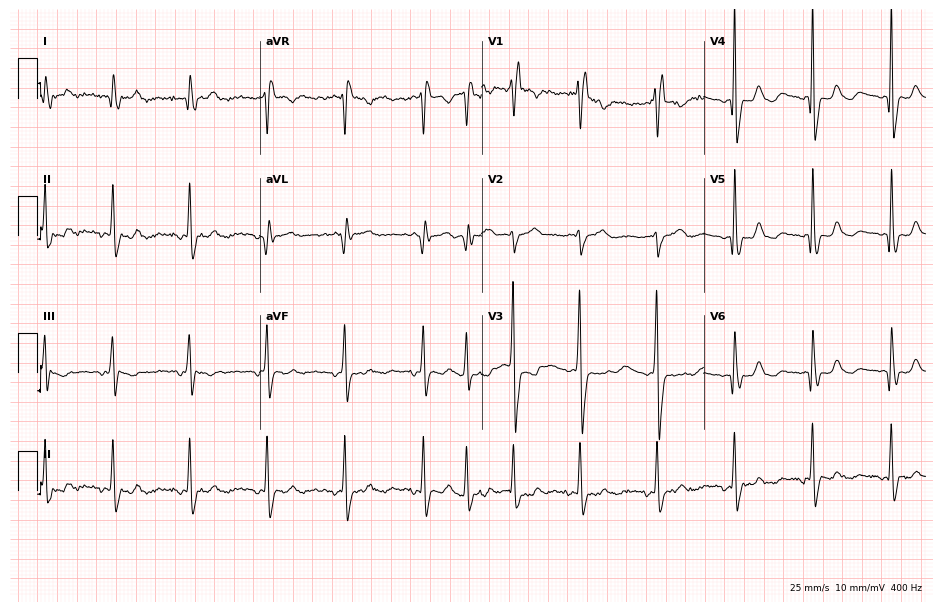
Electrocardiogram, an 82-year-old male. Of the six screened findings (first-degree AV block, right bundle branch block (RBBB), left bundle branch block (LBBB), sinus bradycardia, atrial fibrillation (AF), sinus tachycardia), none is recorded.